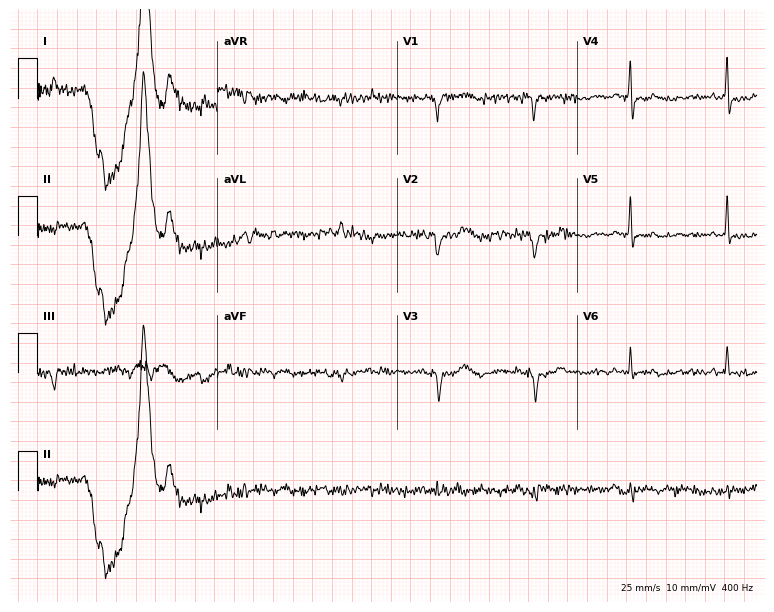
ECG (7.3-second recording at 400 Hz) — a male patient, 83 years old. Screened for six findings — first-degree AV block, right bundle branch block (RBBB), left bundle branch block (LBBB), sinus bradycardia, atrial fibrillation (AF), sinus tachycardia — none is recorded.